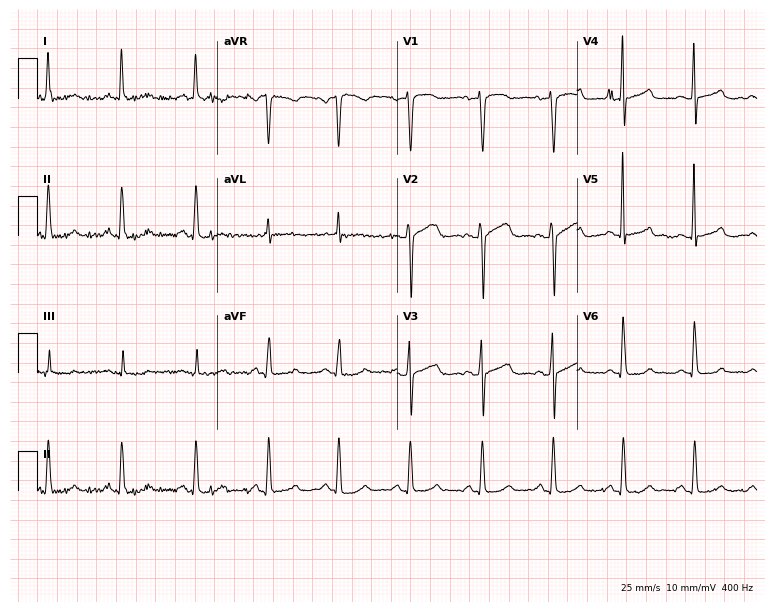
Standard 12-lead ECG recorded from a 57-year-old female patient (7.3-second recording at 400 Hz). None of these six findings is recorded: first-degree AV block, right bundle branch block (RBBB), left bundle branch block (LBBB), sinus bradycardia, atrial fibrillation (AF), sinus tachycardia. Only these six findings were labelled.